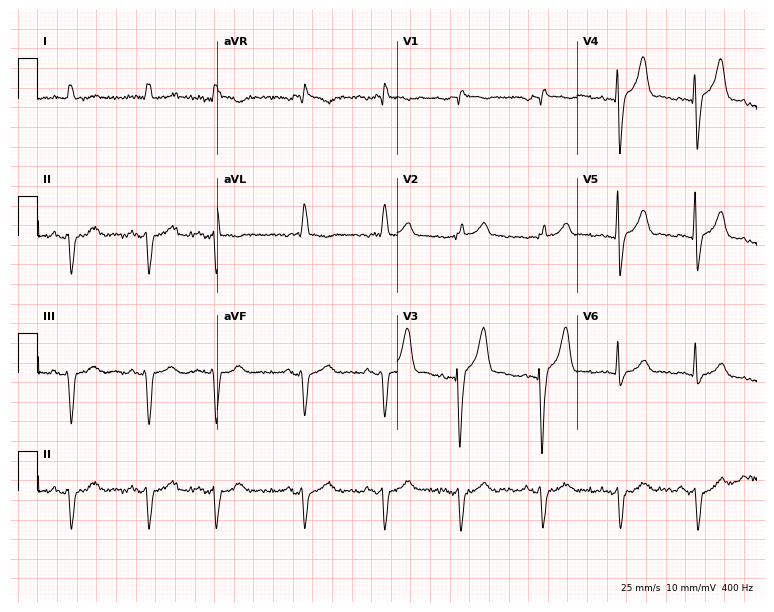
12-lead ECG from an 84-year-old male. Screened for six findings — first-degree AV block, right bundle branch block, left bundle branch block, sinus bradycardia, atrial fibrillation, sinus tachycardia — none is recorded. Other findings, if any, are not listed.